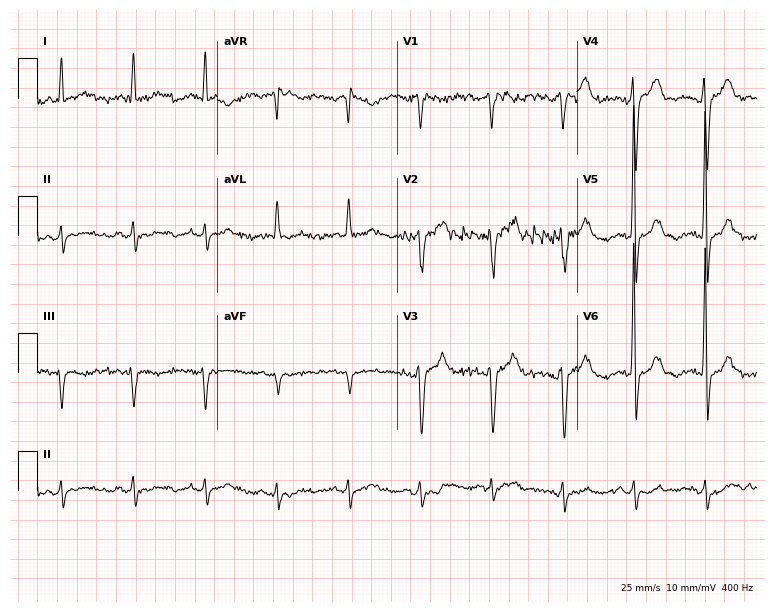
Electrocardiogram (7.3-second recording at 400 Hz), a 69-year-old male patient. Of the six screened findings (first-degree AV block, right bundle branch block, left bundle branch block, sinus bradycardia, atrial fibrillation, sinus tachycardia), none is recorded. Only these six findings were labelled.